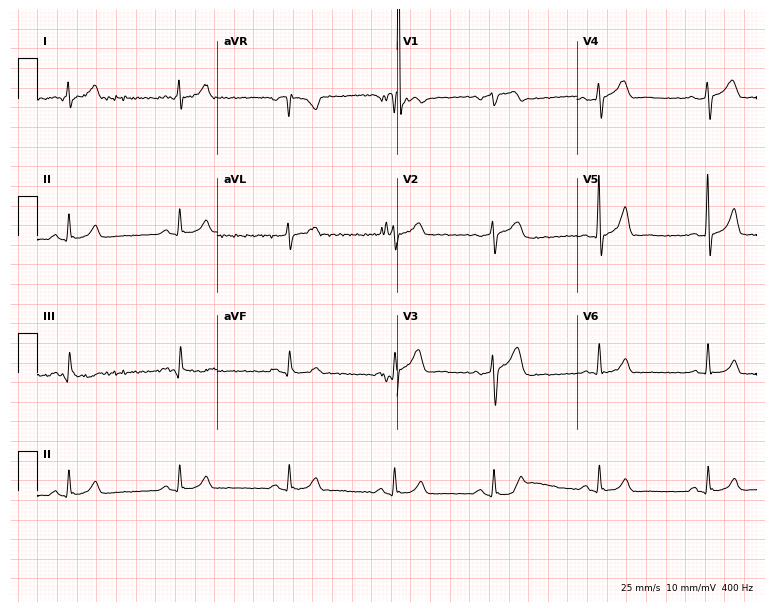
ECG — a 50-year-old male patient. Screened for six findings — first-degree AV block, right bundle branch block (RBBB), left bundle branch block (LBBB), sinus bradycardia, atrial fibrillation (AF), sinus tachycardia — none is recorded. Only these six findings were labelled.